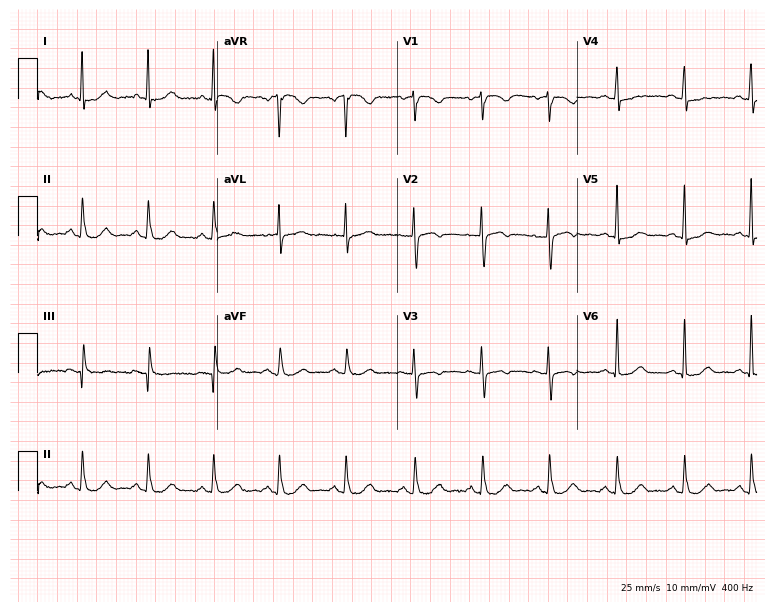
ECG (7.3-second recording at 400 Hz) — a 71-year-old female patient. Screened for six findings — first-degree AV block, right bundle branch block (RBBB), left bundle branch block (LBBB), sinus bradycardia, atrial fibrillation (AF), sinus tachycardia — none is recorded.